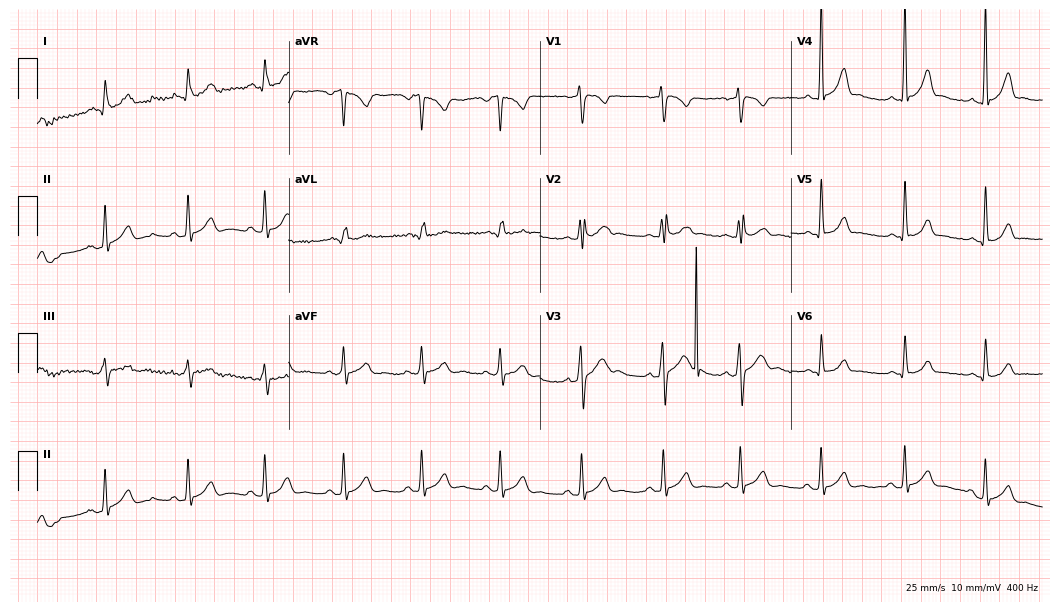
12-lead ECG from an 18-year-old man (10.2-second recording at 400 Hz). Recorded interpretation: within normal limits.